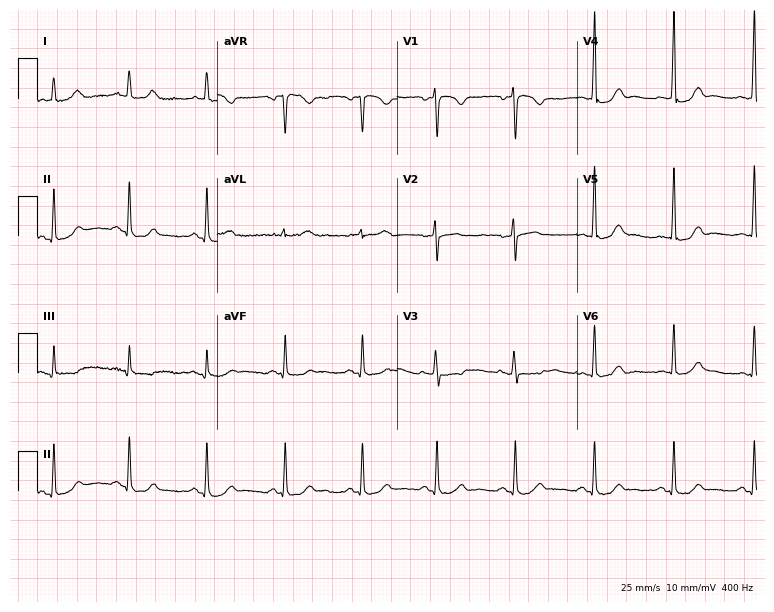
Electrocardiogram, a 43-year-old female. Of the six screened findings (first-degree AV block, right bundle branch block, left bundle branch block, sinus bradycardia, atrial fibrillation, sinus tachycardia), none is recorded.